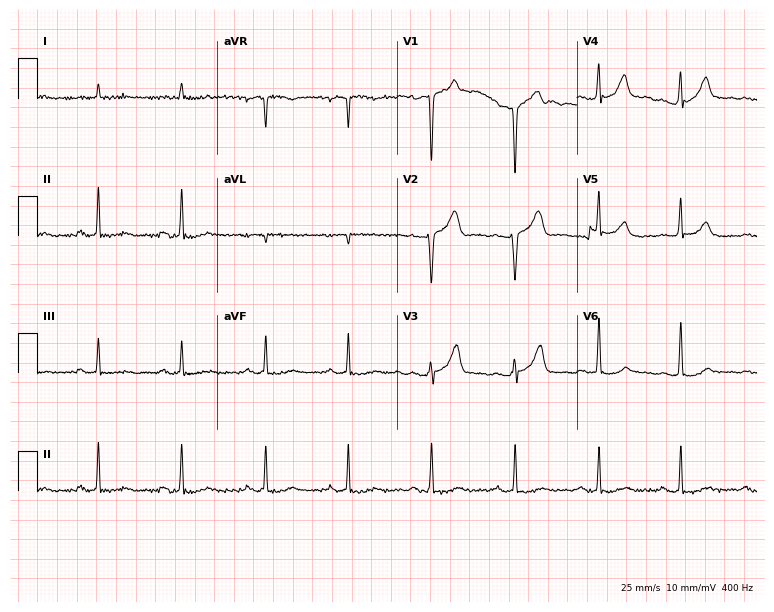
ECG (7.3-second recording at 400 Hz) — a male patient, 85 years old. Screened for six findings — first-degree AV block, right bundle branch block, left bundle branch block, sinus bradycardia, atrial fibrillation, sinus tachycardia — none is recorded. Other findings, if any, are not listed.